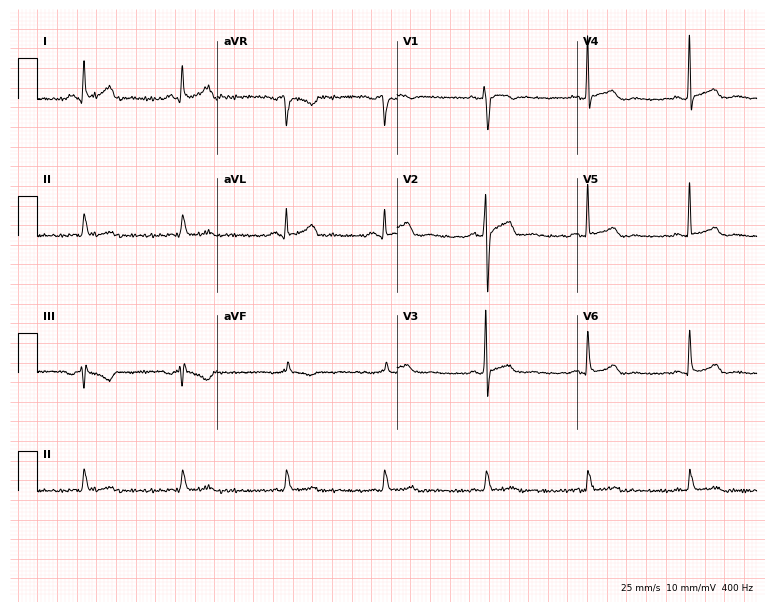
Electrocardiogram, a 30-year-old man. Overall reading on record: normal ECG.